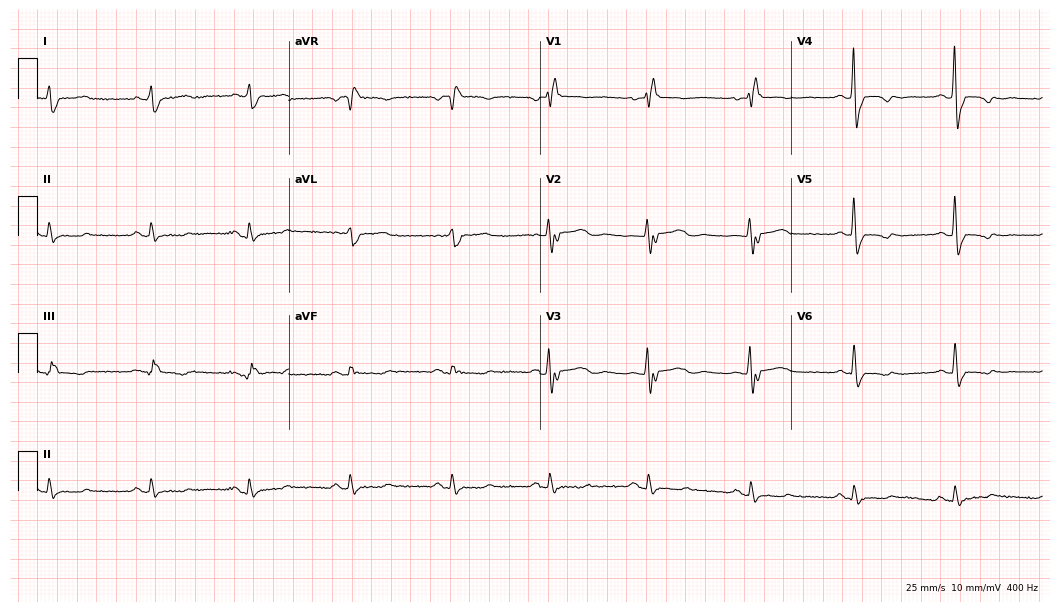
Standard 12-lead ECG recorded from a female patient, 72 years old (10.2-second recording at 400 Hz). None of these six findings is recorded: first-degree AV block, right bundle branch block (RBBB), left bundle branch block (LBBB), sinus bradycardia, atrial fibrillation (AF), sinus tachycardia.